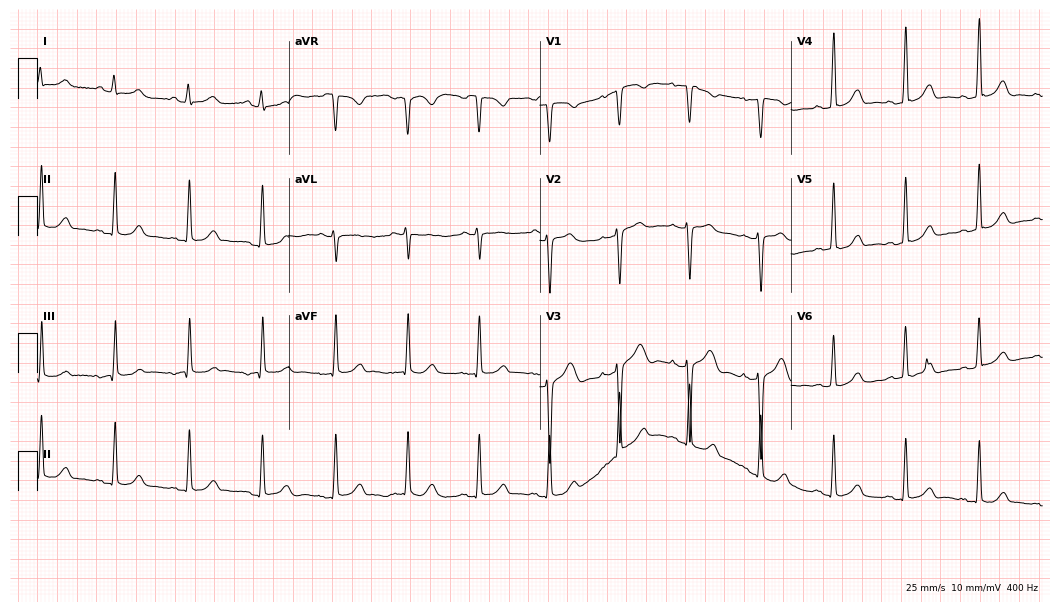
12-lead ECG (10.2-second recording at 400 Hz) from a 32-year-old woman. Screened for six findings — first-degree AV block, right bundle branch block, left bundle branch block, sinus bradycardia, atrial fibrillation, sinus tachycardia — none is recorded.